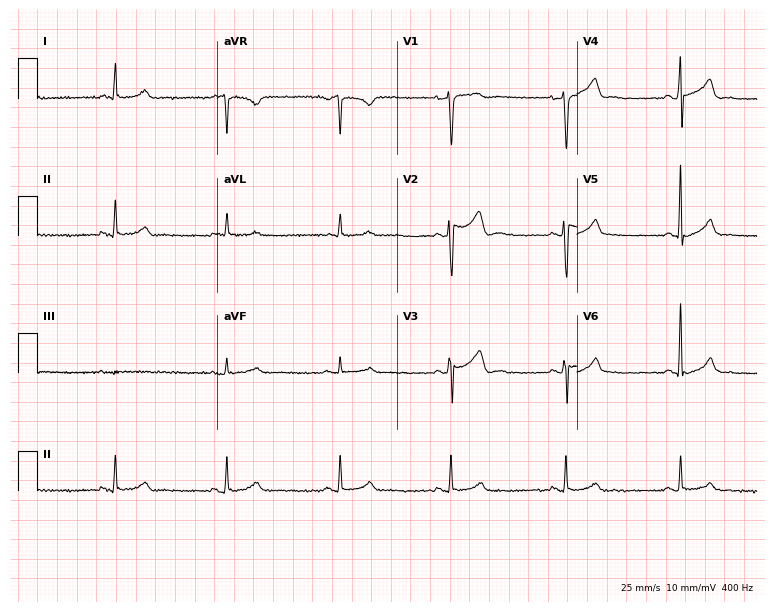
Resting 12-lead electrocardiogram (7.3-second recording at 400 Hz). Patient: a male, 45 years old. None of these six findings is recorded: first-degree AV block, right bundle branch block, left bundle branch block, sinus bradycardia, atrial fibrillation, sinus tachycardia.